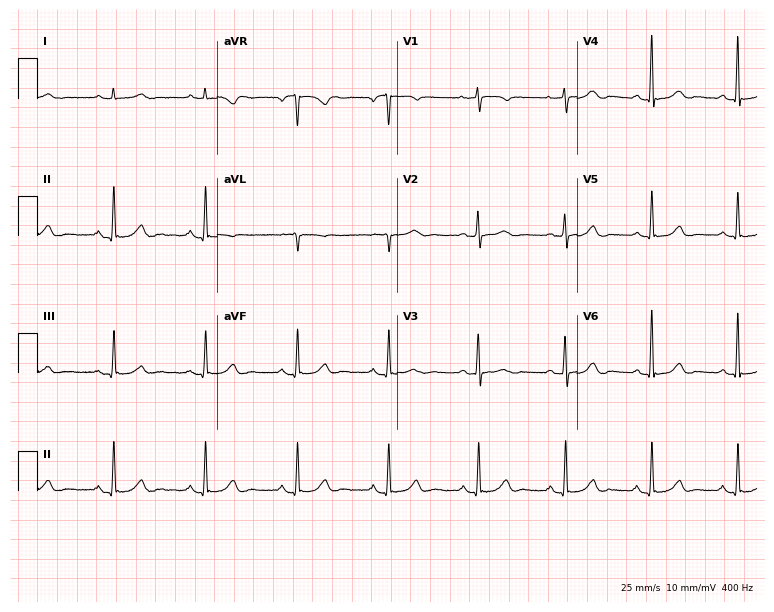
Electrocardiogram (7.3-second recording at 400 Hz), a female, 67 years old. Overall reading on record: normal ECG.